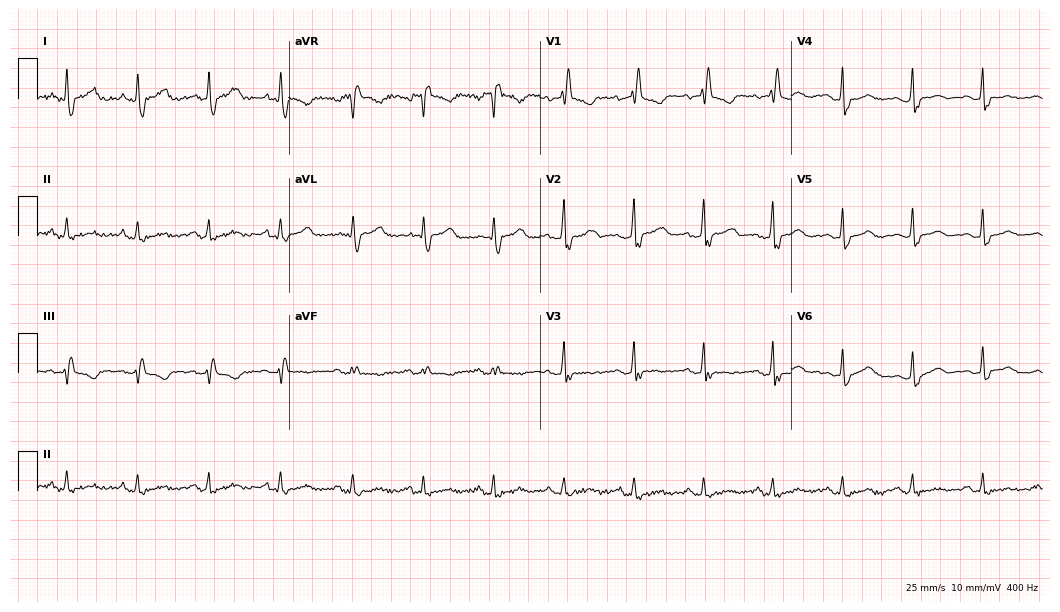
Standard 12-lead ECG recorded from a female patient, 54 years old. The tracing shows right bundle branch block.